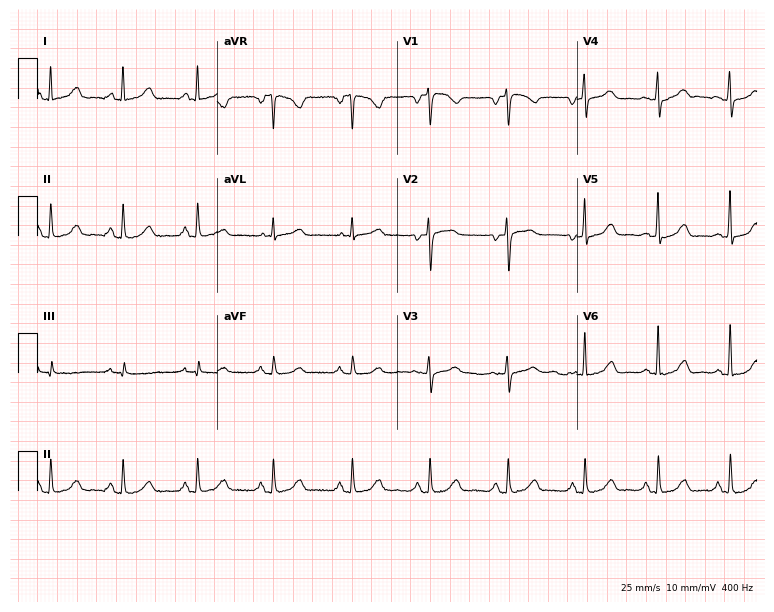
Standard 12-lead ECG recorded from a 48-year-old woman. Read as a normal ECG.